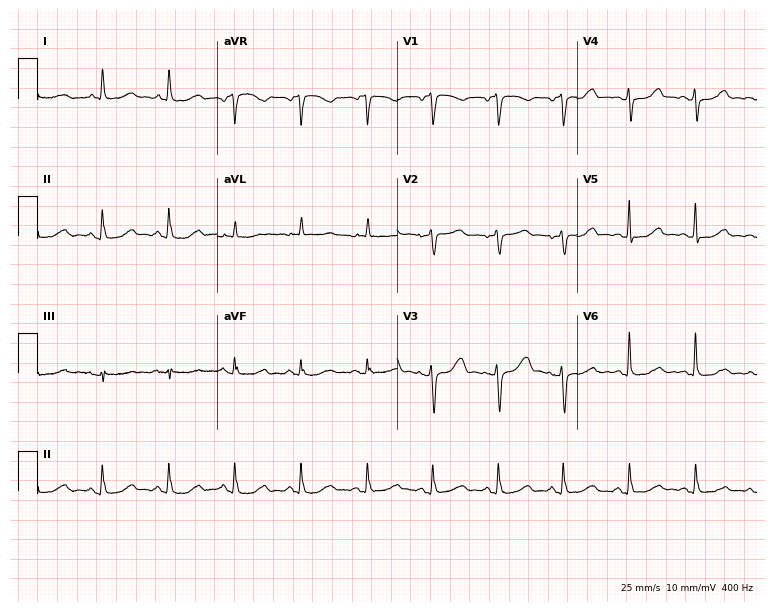
ECG — an 85-year-old male patient. Screened for six findings — first-degree AV block, right bundle branch block, left bundle branch block, sinus bradycardia, atrial fibrillation, sinus tachycardia — none is recorded. Other findings, if any, are not listed.